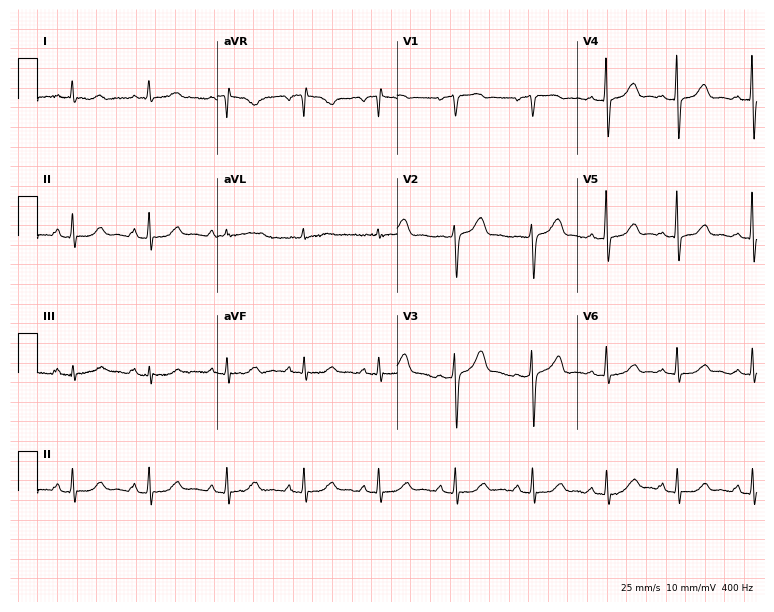
Standard 12-lead ECG recorded from a woman, 72 years old (7.3-second recording at 400 Hz). Read as a normal ECG.